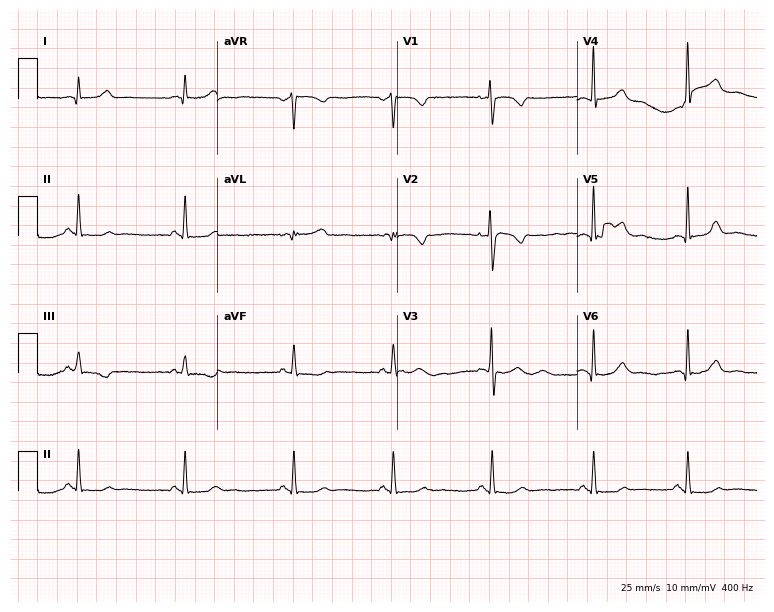
Standard 12-lead ECG recorded from a woman, 27 years old. Read as a normal ECG.